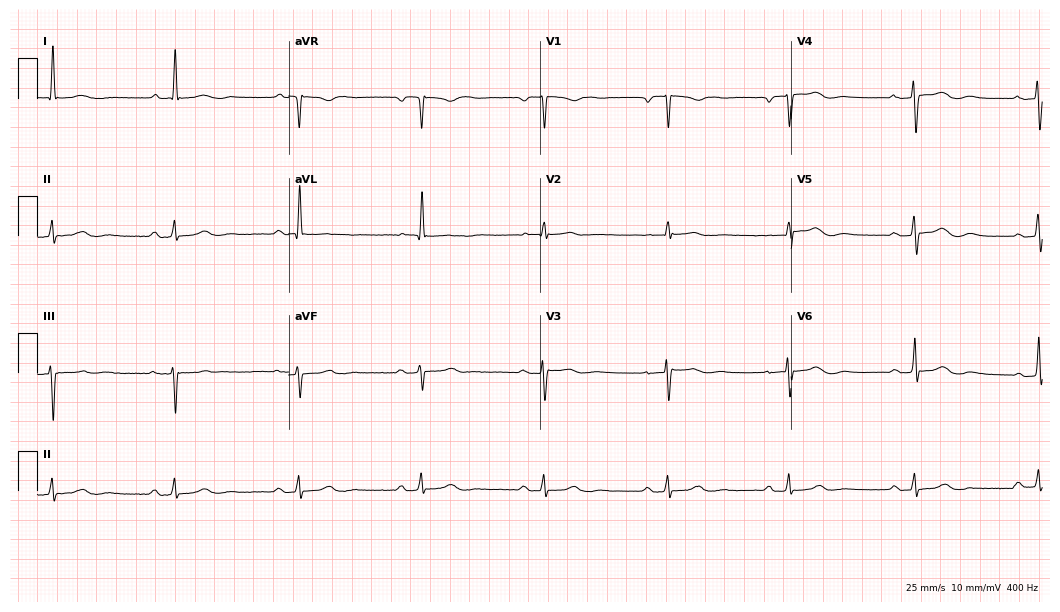
Resting 12-lead electrocardiogram (10.2-second recording at 400 Hz). Patient: an 82-year-old female. The tracing shows first-degree AV block, sinus bradycardia (a sinus rate of 50 beats per minute or less).